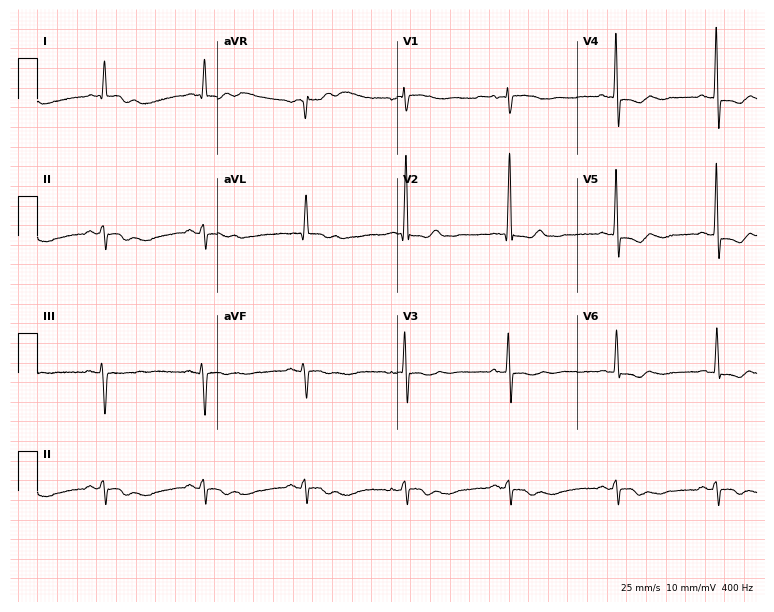
12-lead ECG from a female patient, 73 years old. No first-degree AV block, right bundle branch block (RBBB), left bundle branch block (LBBB), sinus bradycardia, atrial fibrillation (AF) or sinus tachycardia recorded for this tracing. Only these six findings were labelled.